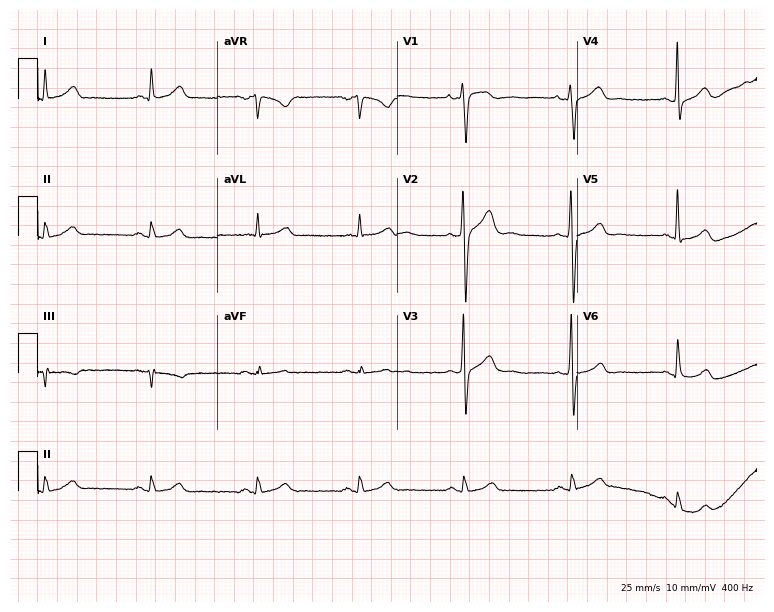
Resting 12-lead electrocardiogram. Patient: a man, 30 years old. Read as a normal ECG.